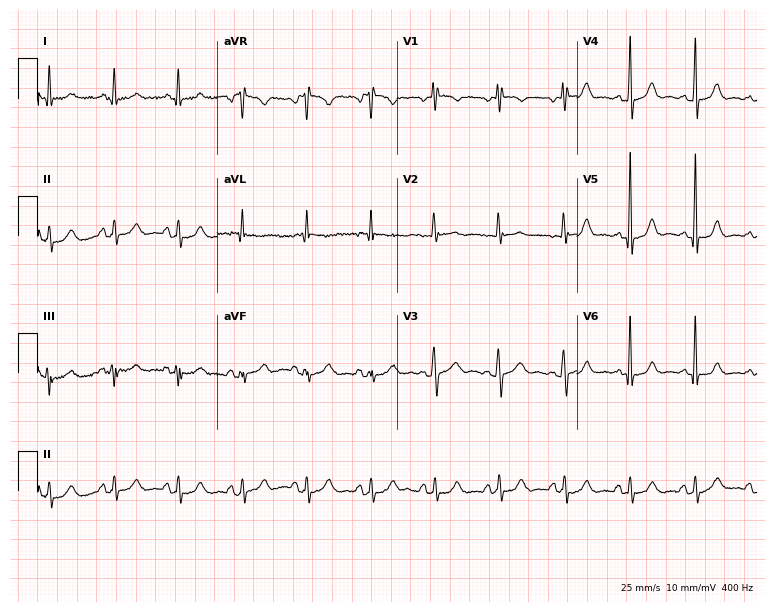
12-lead ECG (7.3-second recording at 400 Hz) from a 38-year-old male. Labelled as a normal ECG.